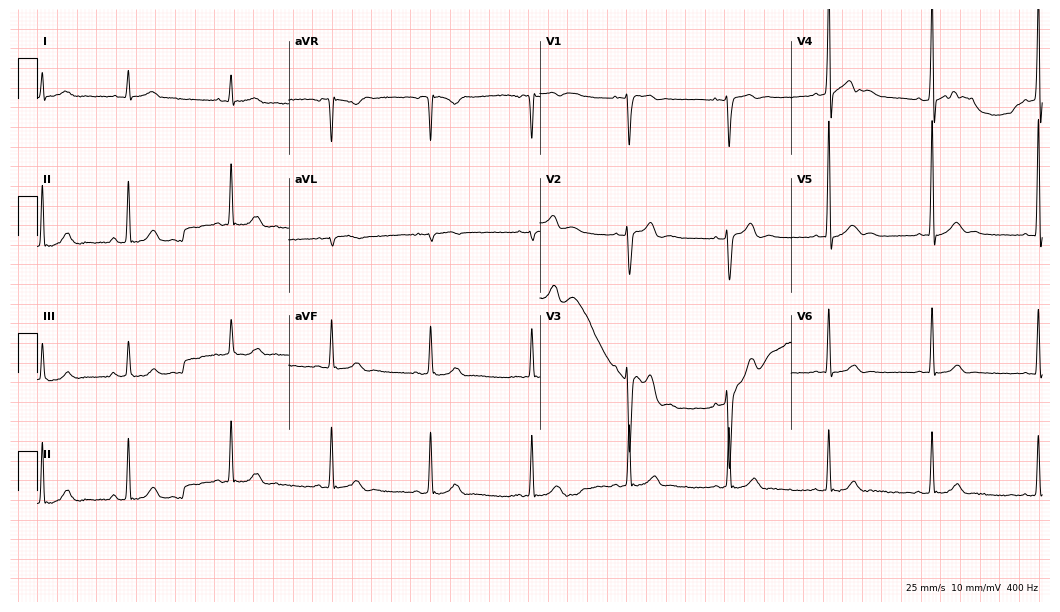
Electrocardiogram, a 39-year-old male. Of the six screened findings (first-degree AV block, right bundle branch block, left bundle branch block, sinus bradycardia, atrial fibrillation, sinus tachycardia), none is recorded. Other findings, if any, are not listed.